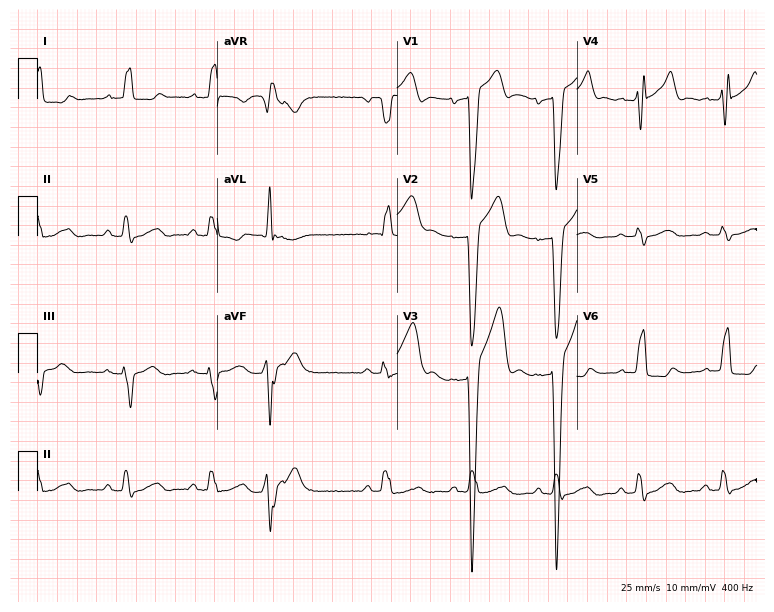
ECG — a 52-year-old male. Findings include left bundle branch block (LBBB).